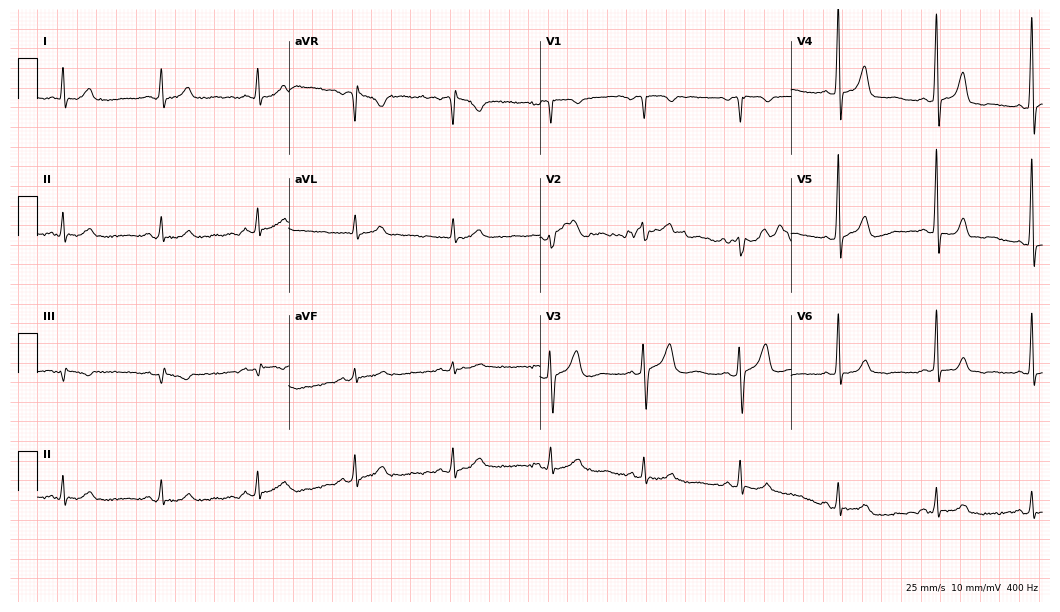
ECG (10.2-second recording at 400 Hz) — a male patient, 67 years old. Screened for six findings — first-degree AV block, right bundle branch block, left bundle branch block, sinus bradycardia, atrial fibrillation, sinus tachycardia — none is recorded.